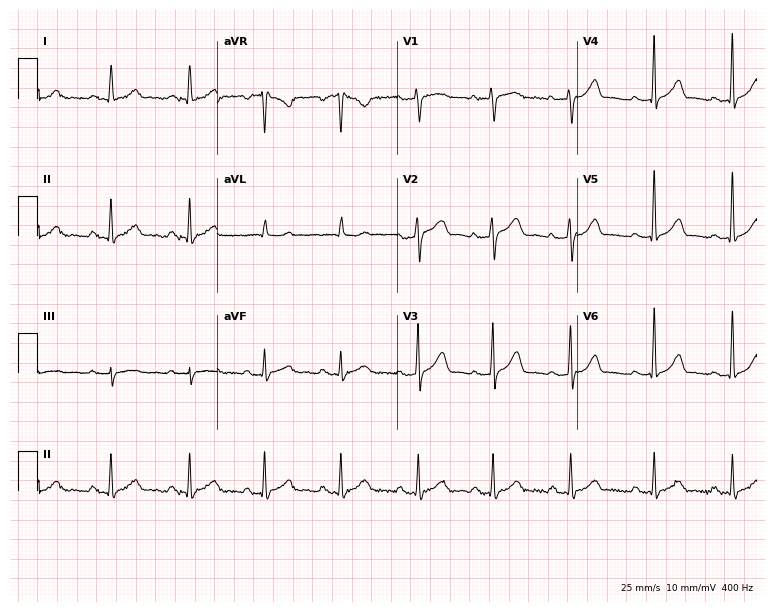
Standard 12-lead ECG recorded from a female, 42 years old. Read as a normal ECG.